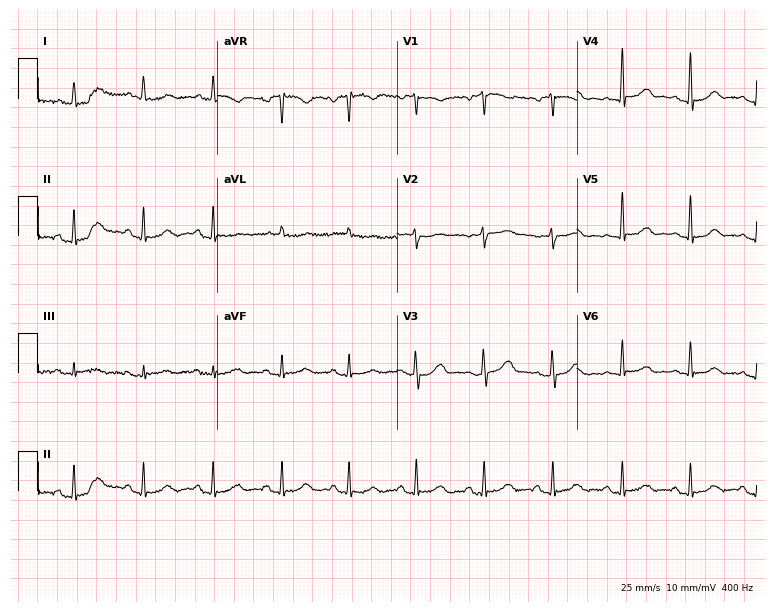
12-lead ECG from a female, 54 years old. Labelled as a normal ECG.